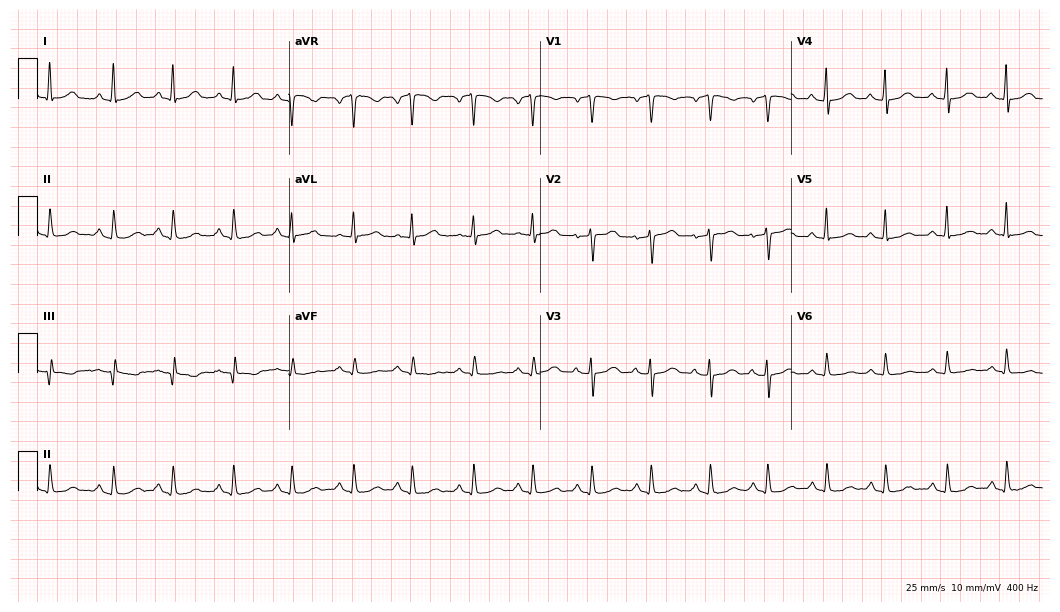
Resting 12-lead electrocardiogram. Patient: a woman, 71 years old. Read as a normal ECG.